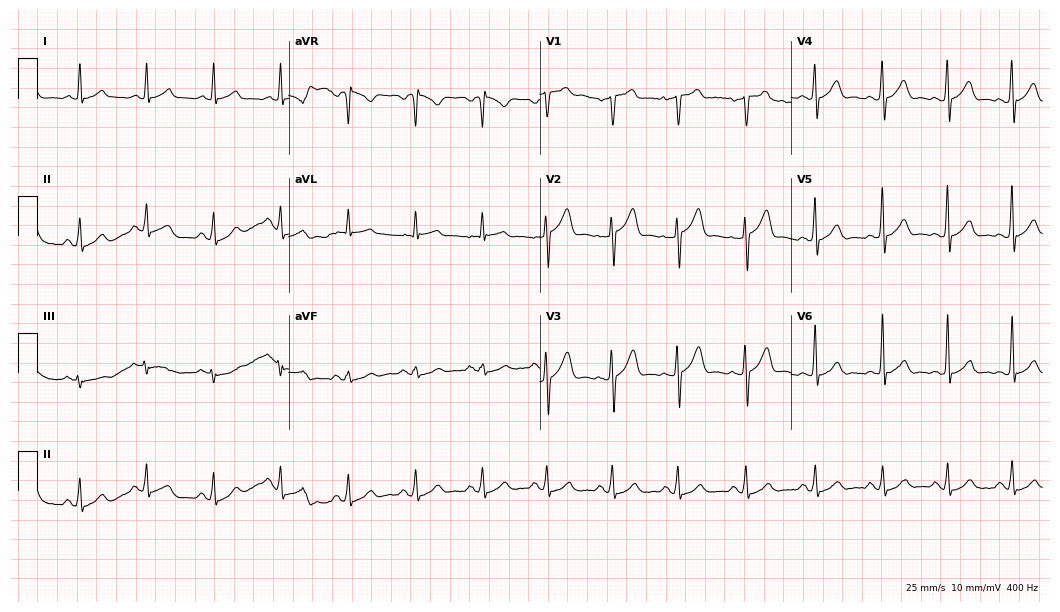
ECG — a man, 41 years old. Screened for six findings — first-degree AV block, right bundle branch block (RBBB), left bundle branch block (LBBB), sinus bradycardia, atrial fibrillation (AF), sinus tachycardia — none is recorded. Only these six findings were labelled.